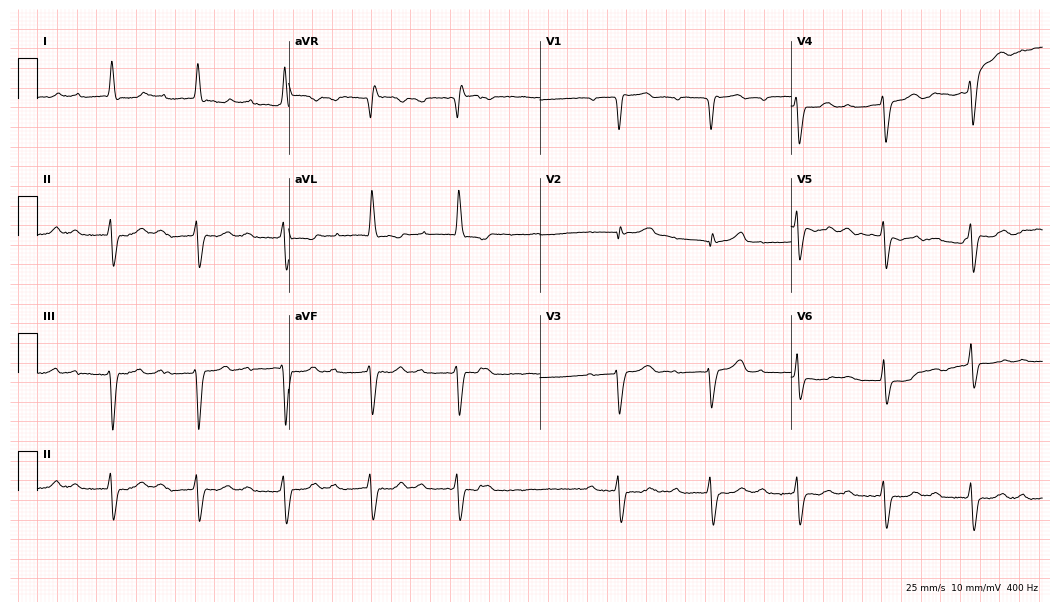
Standard 12-lead ECG recorded from a male patient, 86 years old. The tracing shows first-degree AV block, left bundle branch block (LBBB), atrial fibrillation (AF).